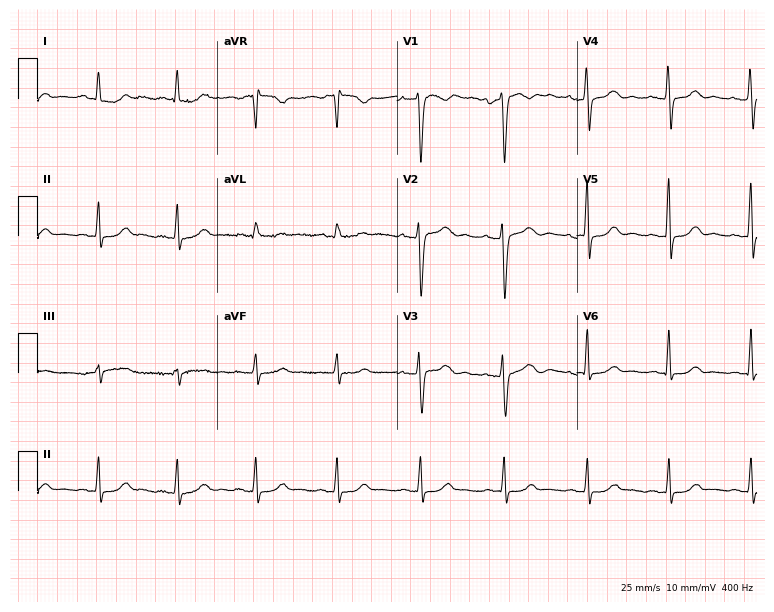
Resting 12-lead electrocardiogram. Patient: a 45-year-old female. None of these six findings is recorded: first-degree AV block, right bundle branch block (RBBB), left bundle branch block (LBBB), sinus bradycardia, atrial fibrillation (AF), sinus tachycardia. Findings outside these six are not listed.